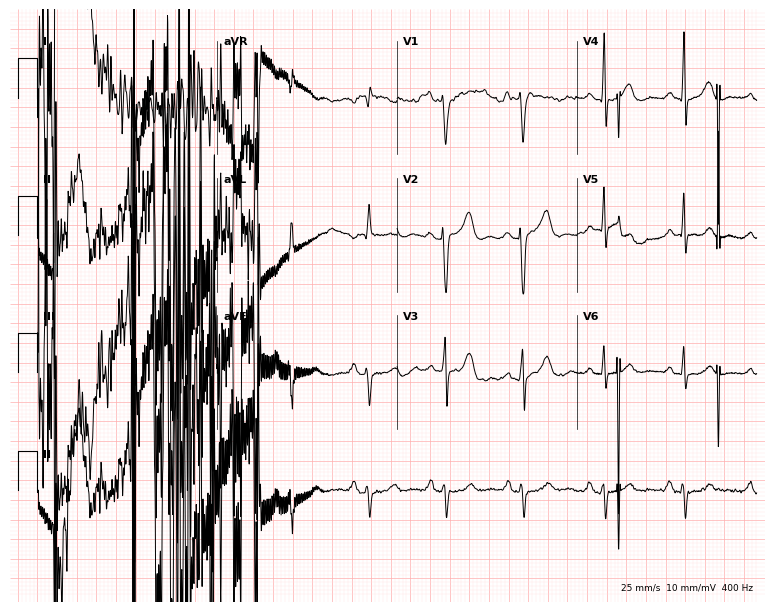
Resting 12-lead electrocardiogram (7.3-second recording at 400 Hz). Patient: a woman, 64 years old. None of these six findings is recorded: first-degree AV block, right bundle branch block (RBBB), left bundle branch block (LBBB), sinus bradycardia, atrial fibrillation (AF), sinus tachycardia. Findings outside these six are not listed.